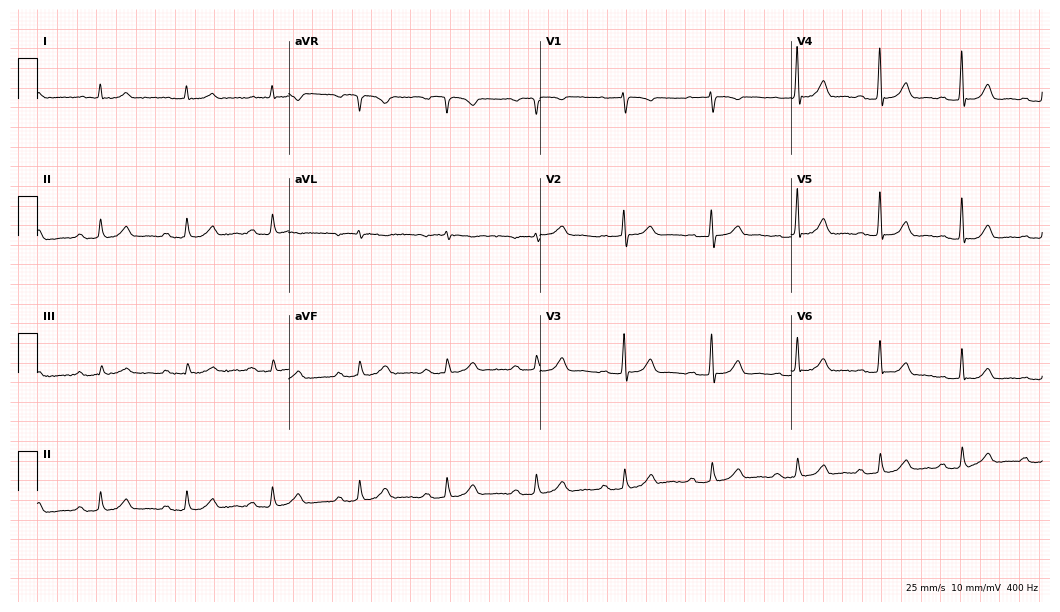
Electrocardiogram (10.2-second recording at 400 Hz), a 65-year-old man. Interpretation includes first-degree AV block.